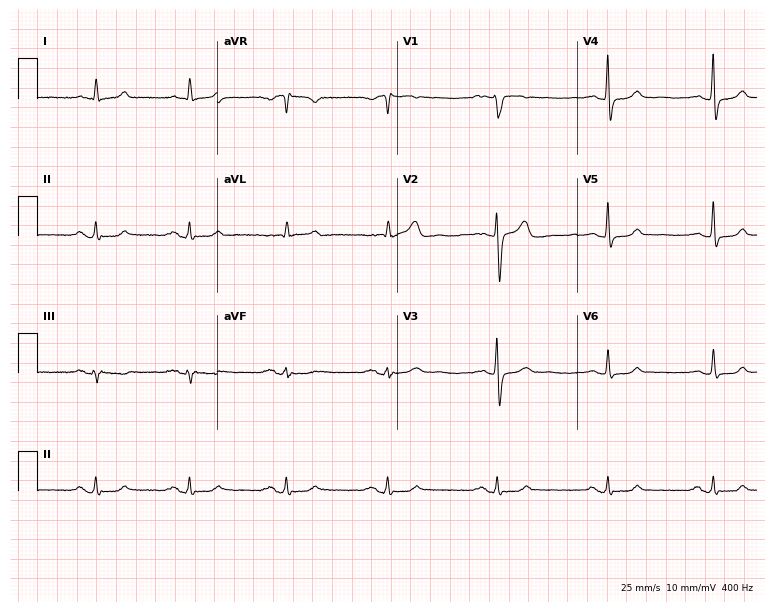
12-lead ECG from a woman, 59 years old. Recorded interpretation: within normal limits.